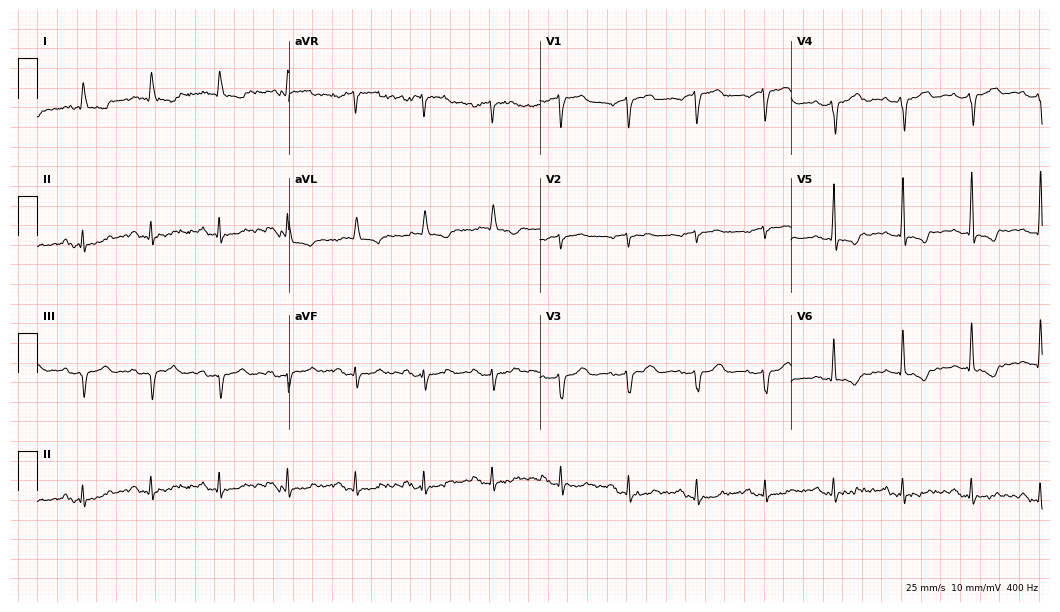
Resting 12-lead electrocardiogram. Patient: an 84-year-old man. None of these six findings is recorded: first-degree AV block, right bundle branch block (RBBB), left bundle branch block (LBBB), sinus bradycardia, atrial fibrillation (AF), sinus tachycardia. Other findings, if any, are not listed.